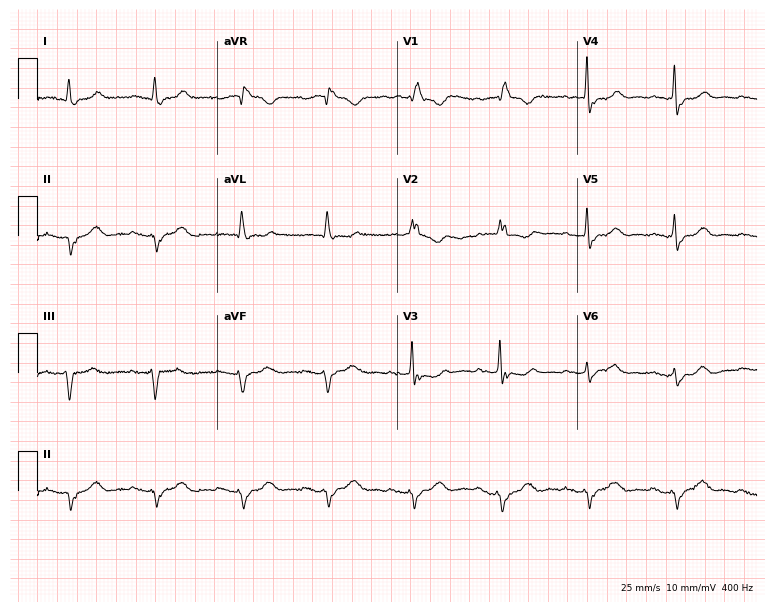
ECG (7.3-second recording at 400 Hz) — a female, 79 years old. Findings include first-degree AV block, right bundle branch block (RBBB).